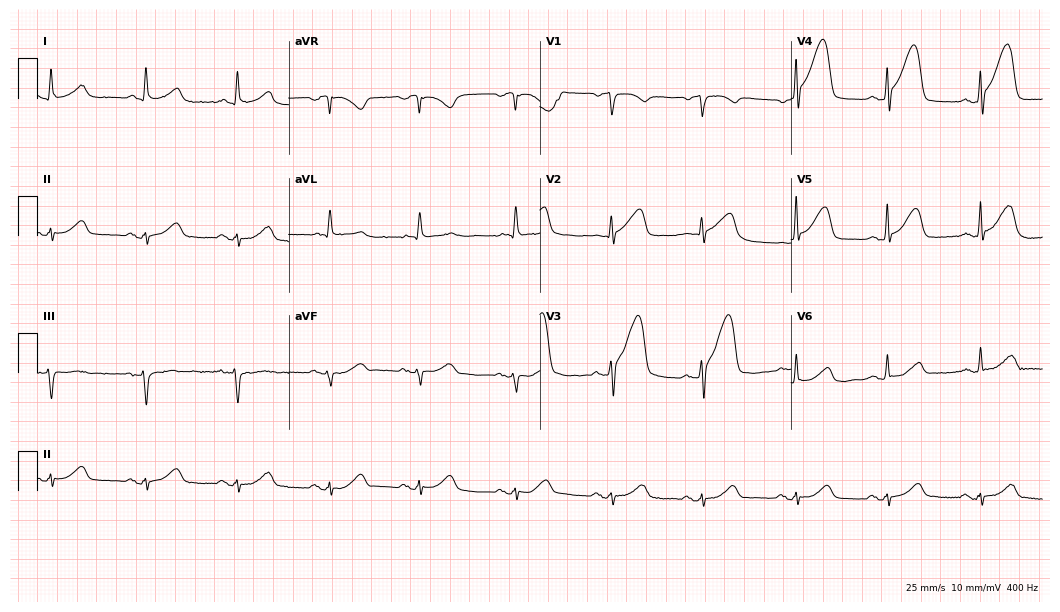
12-lead ECG from a male patient, 66 years old (10.2-second recording at 400 Hz). No first-degree AV block, right bundle branch block (RBBB), left bundle branch block (LBBB), sinus bradycardia, atrial fibrillation (AF) or sinus tachycardia recorded for this tracing. Other findings, if any, are not listed.